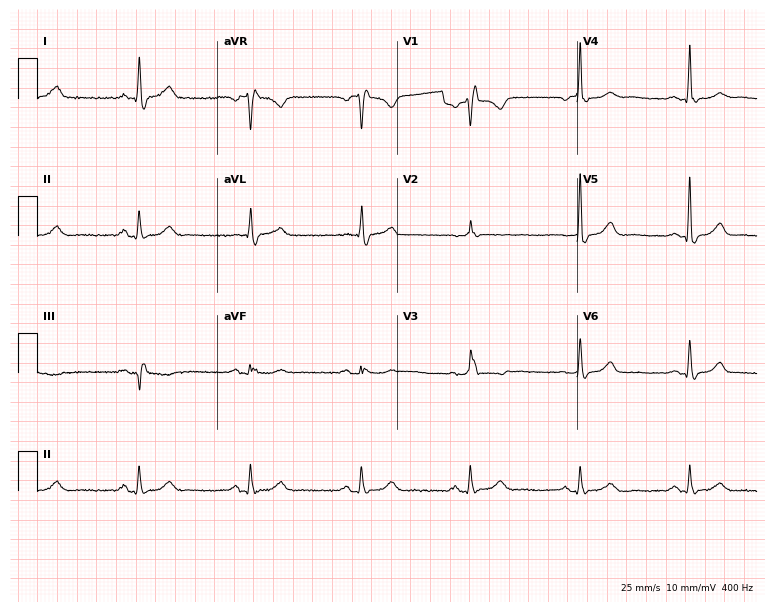
Resting 12-lead electrocardiogram. Patient: a 66-year-old female. The tracing shows right bundle branch block (RBBB).